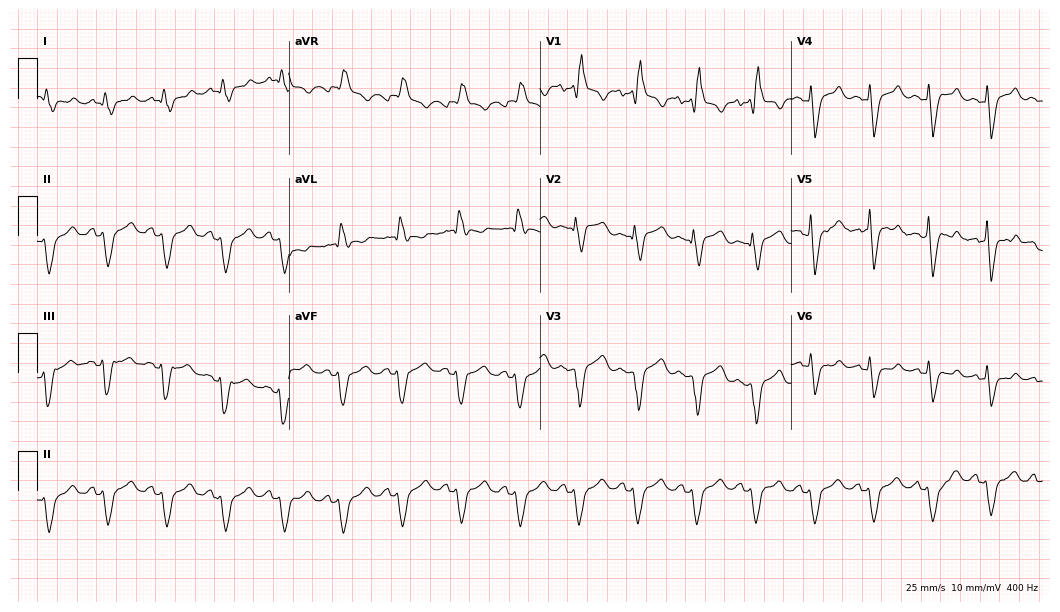
Standard 12-lead ECG recorded from a male patient, 44 years old (10.2-second recording at 400 Hz). The tracing shows right bundle branch block (RBBB), sinus tachycardia (a sinus rate of 100 beats per minute or more).